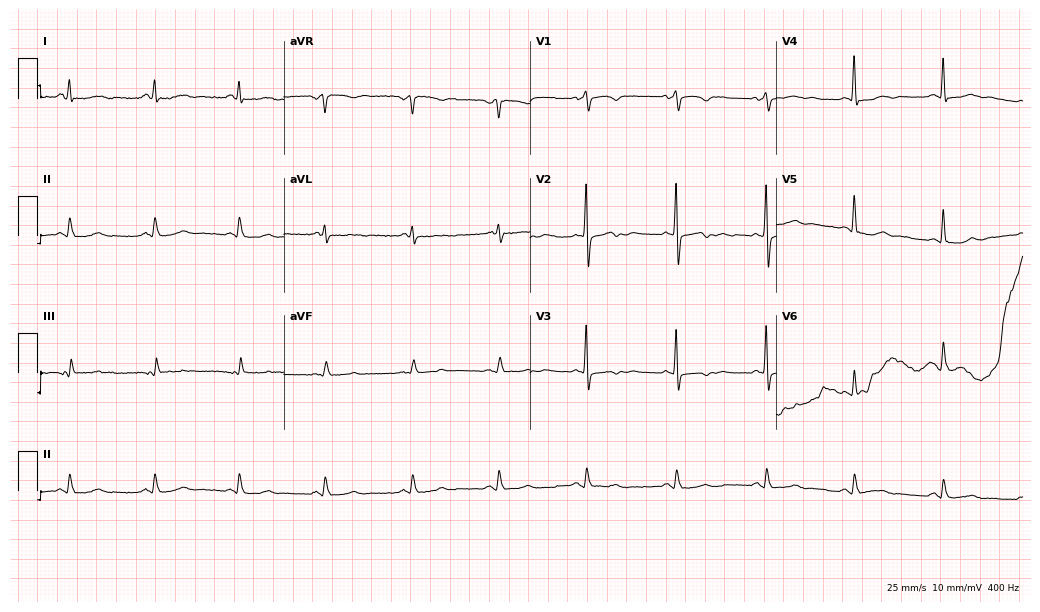
Resting 12-lead electrocardiogram. Patient: a 71-year-old female. None of these six findings is recorded: first-degree AV block, right bundle branch block, left bundle branch block, sinus bradycardia, atrial fibrillation, sinus tachycardia.